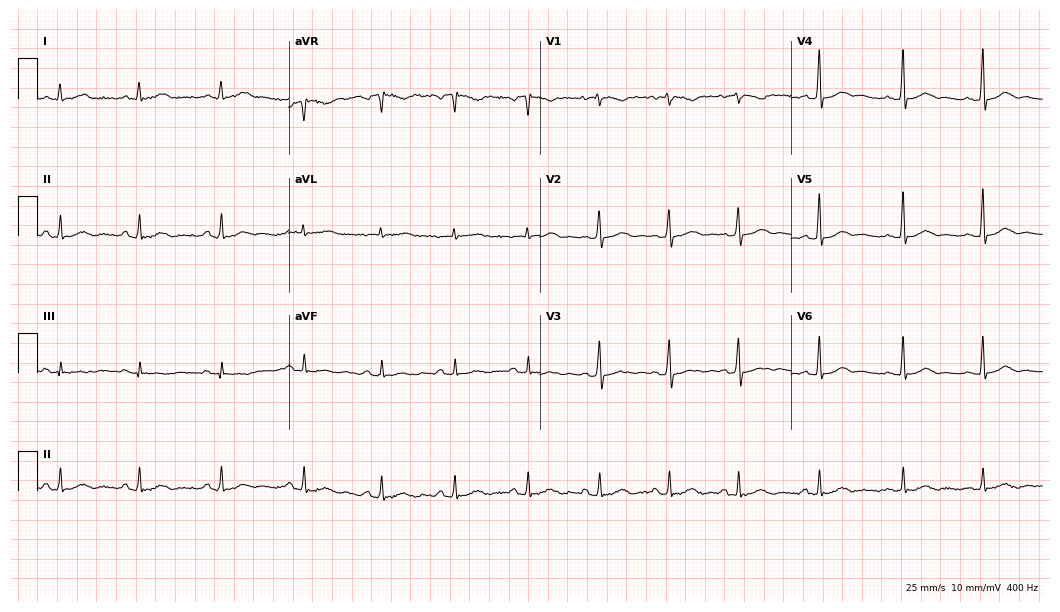
12-lead ECG from a female, 56 years old. Labelled as a normal ECG.